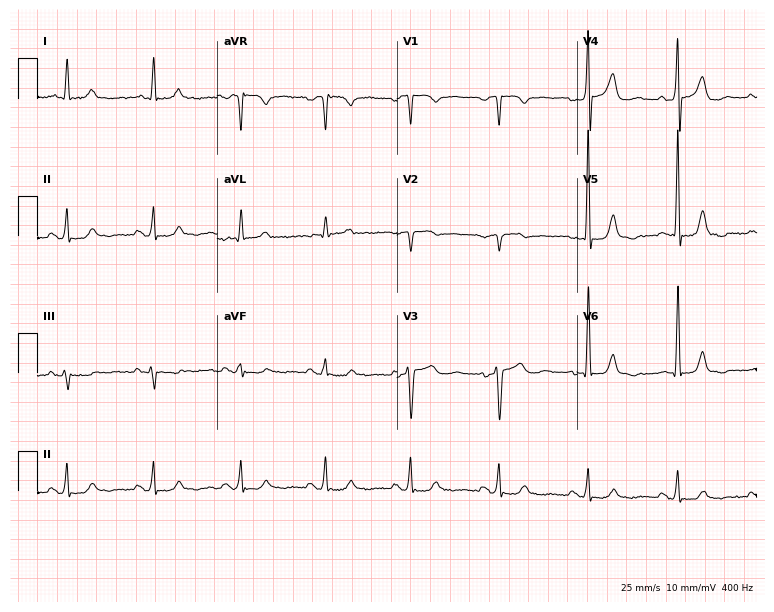
12-lead ECG from a man, 63 years old. Screened for six findings — first-degree AV block, right bundle branch block (RBBB), left bundle branch block (LBBB), sinus bradycardia, atrial fibrillation (AF), sinus tachycardia — none is recorded.